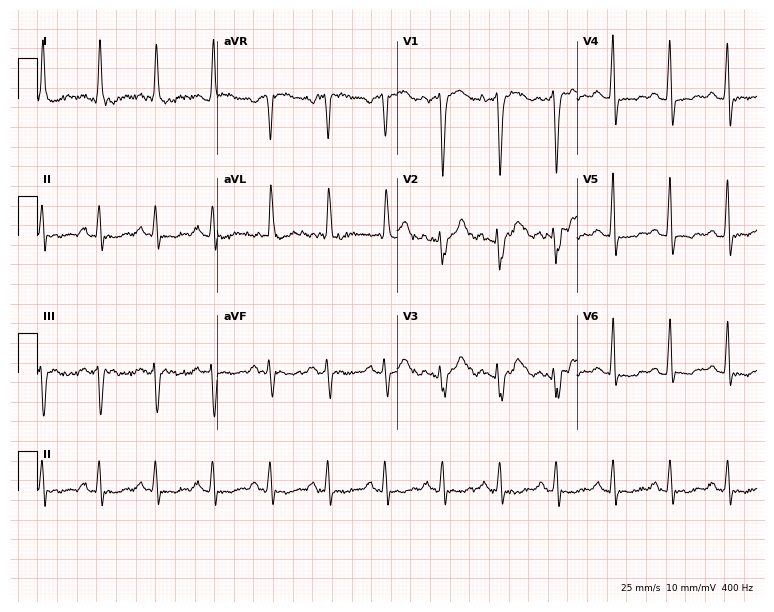
Electrocardiogram (7.3-second recording at 400 Hz), a 65-year-old female. Interpretation includes sinus tachycardia (a sinus rate of 100 beats per minute or more).